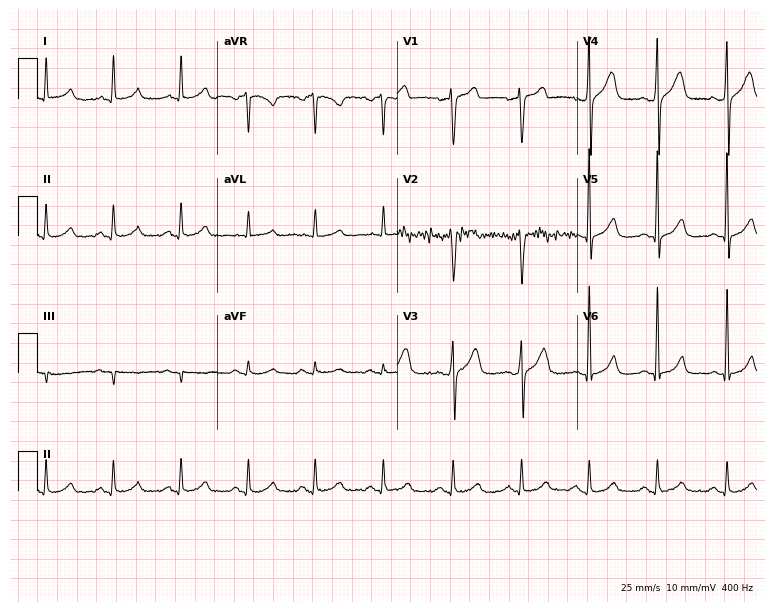
ECG (7.3-second recording at 400 Hz) — a 45-year-old man. Labelled as a normal ECG.